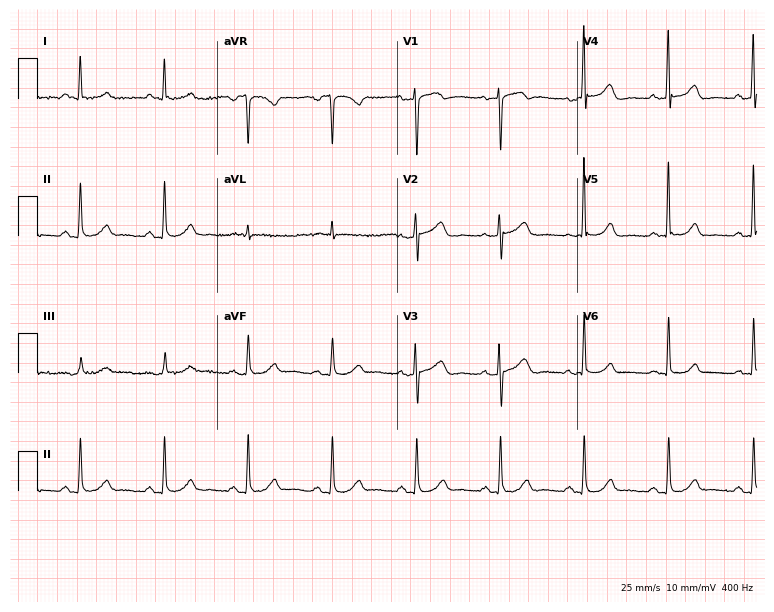
12-lead ECG (7.3-second recording at 400 Hz) from a female, 54 years old. Labelled as a normal ECG.